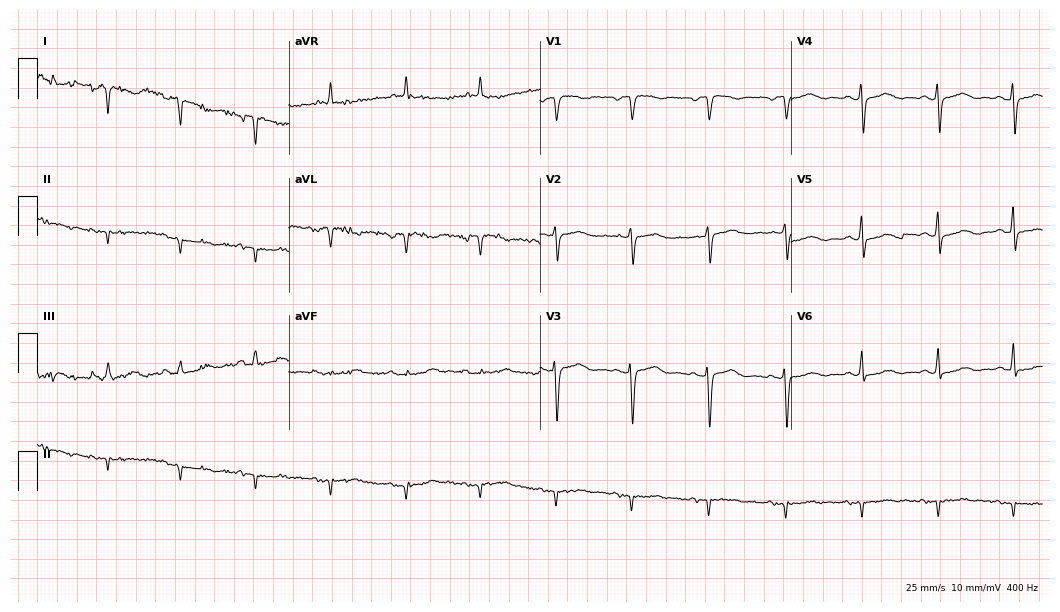
ECG — a woman, 85 years old. Screened for six findings — first-degree AV block, right bundle branch block, left bundle branch block, sinus bradycardia, atrial fibrillation, sinus tachycardia — none is recorded. Only these six findings were labelled.